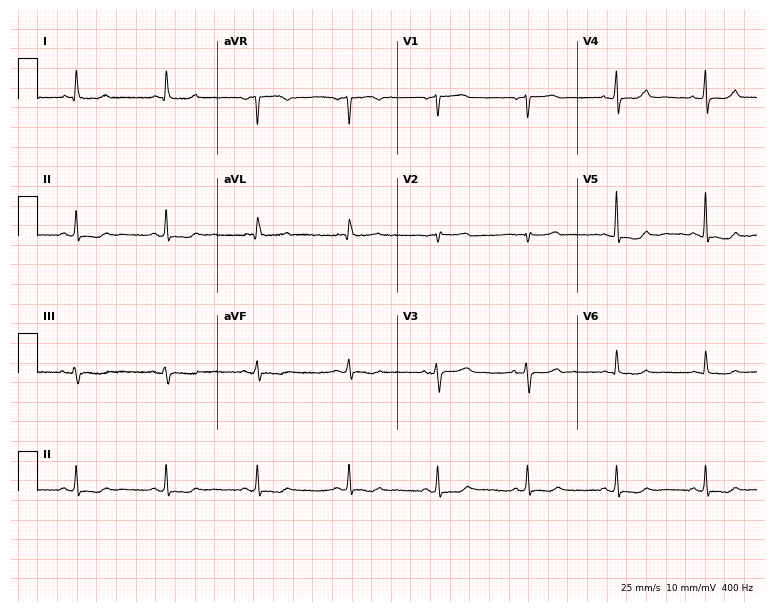
Standard 12-lead ECG recorded from a female patient, 69 years old (7.3-second recording at 400 Hz). None of these six findings is recorded: first-degree AV block, right bundle branch block, left bundle branch block, sinus bradycardia, atrial fibrillation, sinus tachycardia.